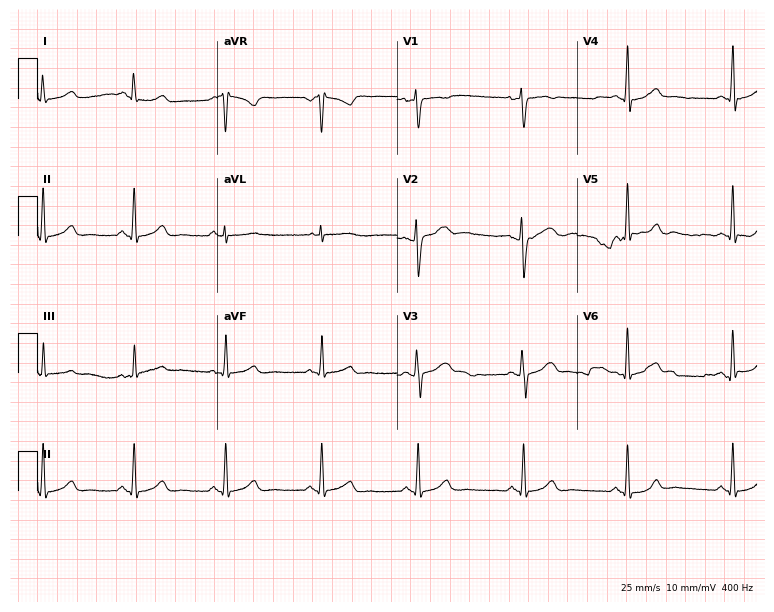
12-lead ECG from a 26-year-old female patient (7.3-second recording at 400 Hz). No first-degree AV block, right bundle branch block, left bundle branch block, sinus bradycardia, atrial fibrillation or sinus tachycardia recorded for this tracing. Other findings, if any, are not listed.